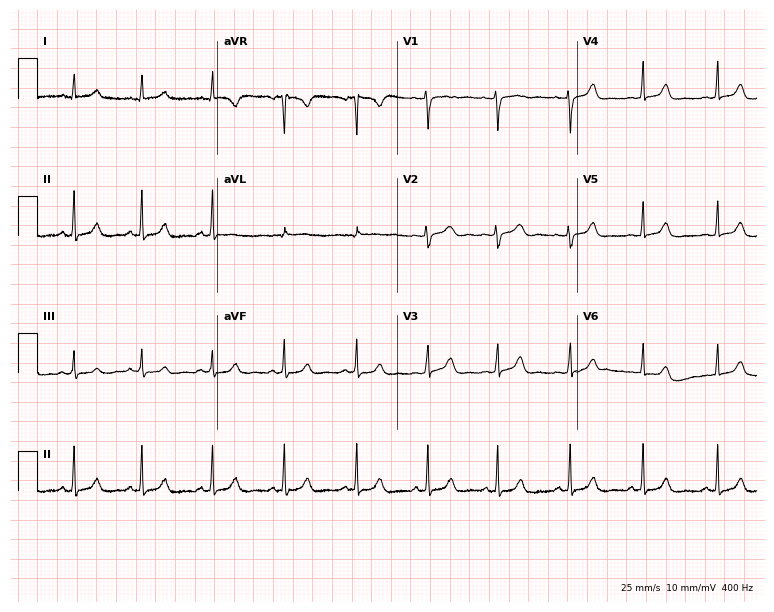
Resting 12-lead electrocardiogram. Patient: a 45-year-old female. Read as a normal ECG.